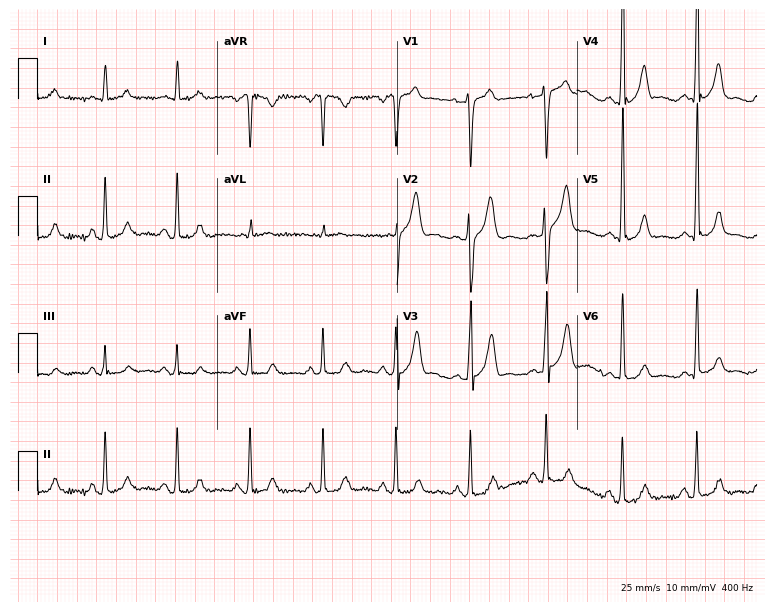
12-lead ECG from a 58-year-old man (7.3-second recording at 400 Hz). No first-degree AV block, right bundle branch block, left bundle branch block, sinus bradycardia, atrial fibrillation or sinus tachycardia recorded for this tracing.